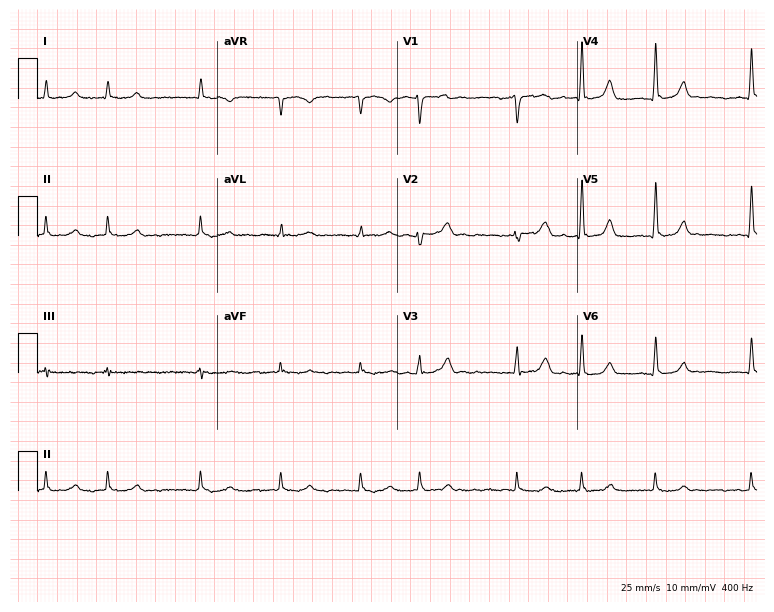
Resting 12-lead electrocardiogram (7.3-second recording at 400 Hz). Patient: a man, 72 years old. None of these six findings is recorded: first-degree AV block, right bundle branch block, left bundle branch block, sinus bradycardia, atrial fibrillation, sinus tachycardia. Findings outside these six are not listed.